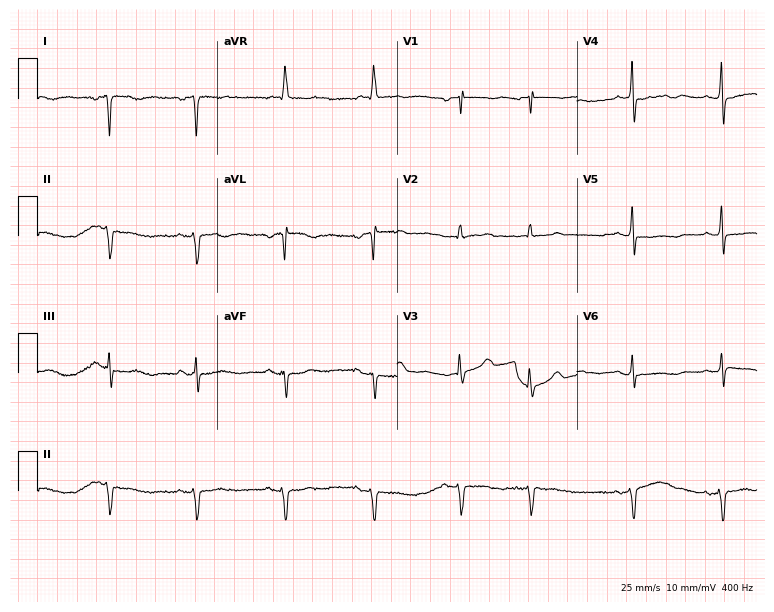
Electrocardiogram (7.3-second recording at 400 Hz), an 85-year-old female patient. Of the six screened findings (first-degree AV block, right bundle branch block (RBBB), left bundle branch block (LBBB), sinus bradycardia, atrial fibrillation (AF), sinus tachycardia), none is recorded. Other findings, if any, are not listed.